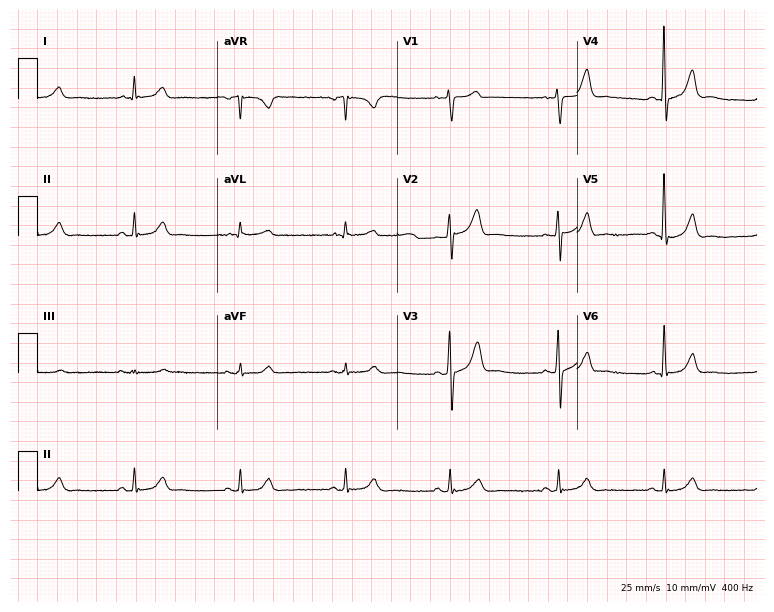
ECG — a 74-year-old male. Labelled as a normal ECG.